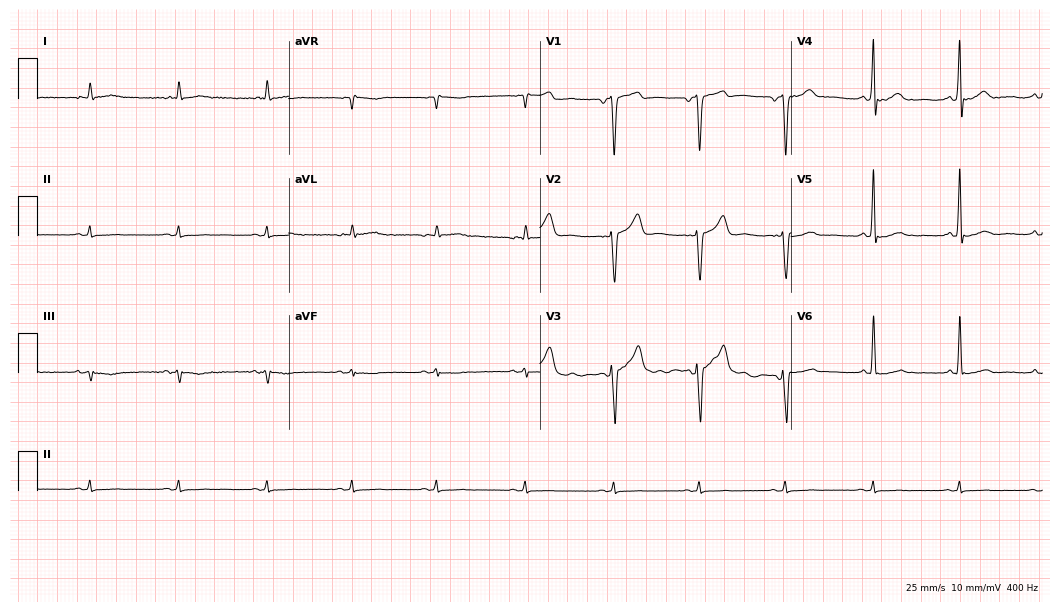
Electrocardiogram, a 52-year-old male. Of the six screened findings (first-degree AV block, right bundle branch block, left bundle branch block, sinus bradycardia, atrial fibrillation, sinus tachycardia), none is recorded. Other findings, if any, are not listed.